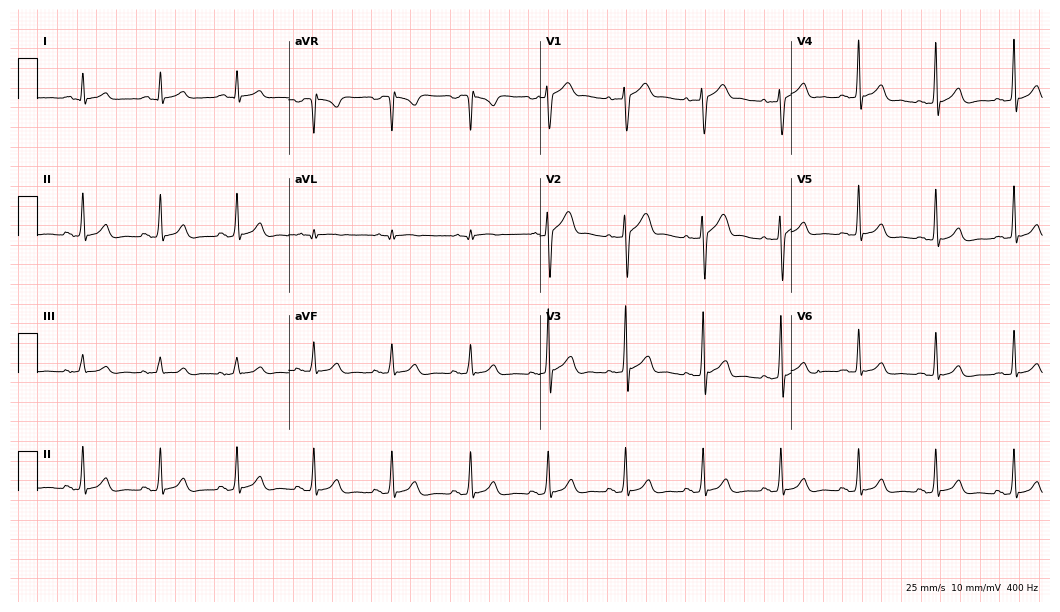
12-lead ECG from a 39-year-old male patient. Recorded interpretation: within normal limits.